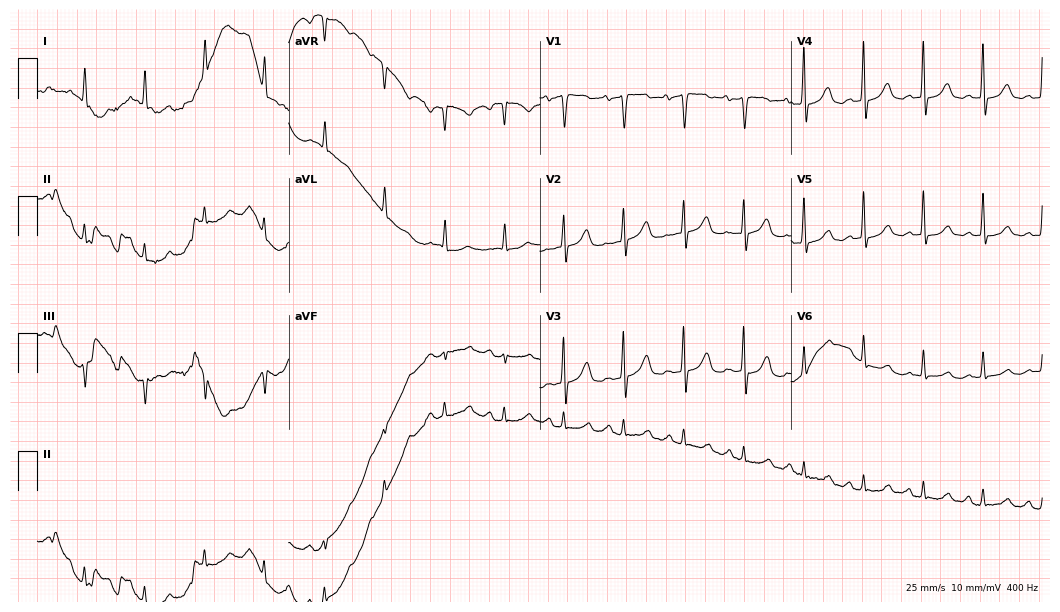
Standard 12-lead ECG recorded from a female, 80 years old. None of these six findings is recorded: first-degree AV block, right bundle branch block, left bundle branch block, sinus bradycardia, atrial fibrillation, sinus tachycardia. Other findings, if any, are not listed.